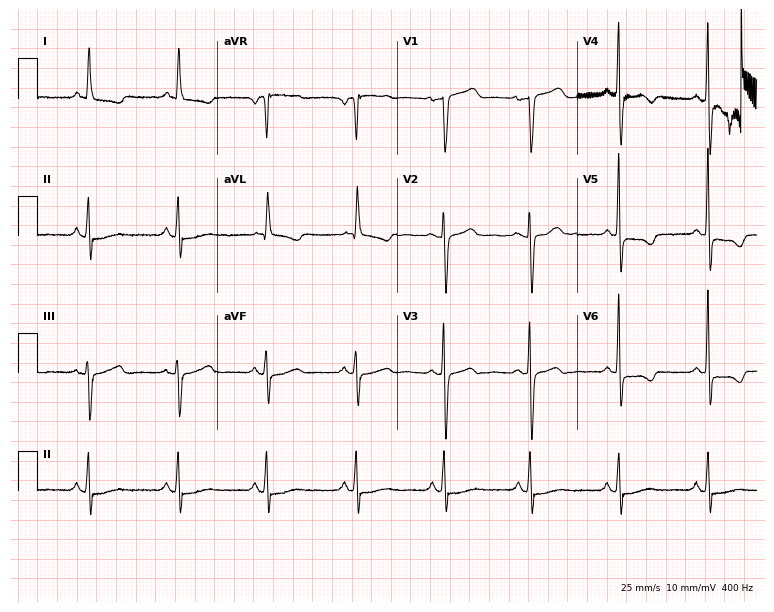
Electrocardiogram, a woman, 78 years old. Of the six screened findings (first-degree AV block, right bundle branch block, left bundle branch block, sinus bradycardia, atrial fibrillation, sinus tachycardia), none is recorded.